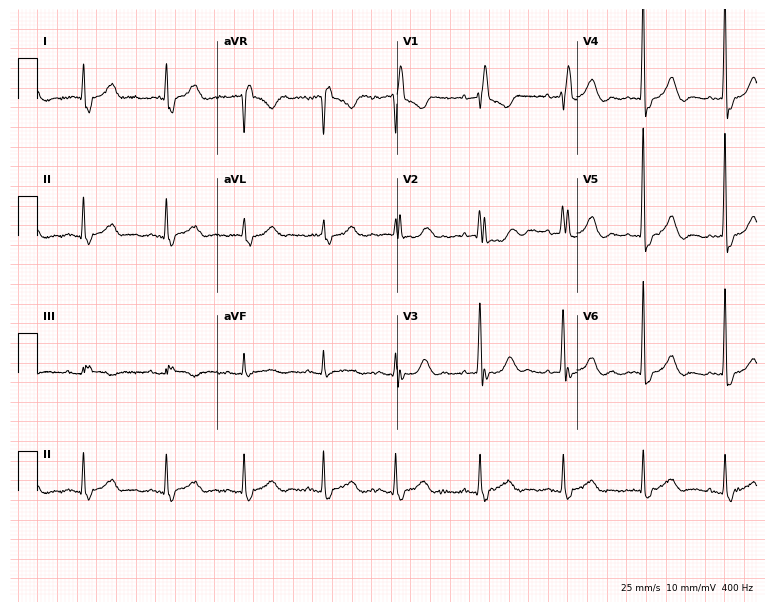
12-lead ECG from an 84-year-old female patient. Findings include right bundle branch block.